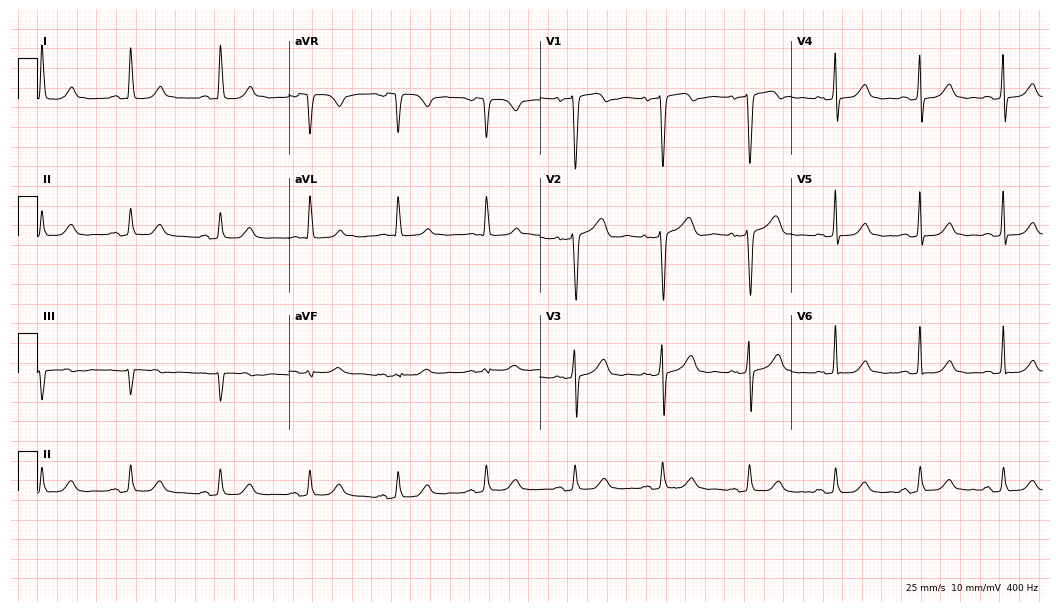
Electrocardiogram (10.2-second recording at 400 Hz), a female patient, 56 years old. Overall reading on record: normal ECG.